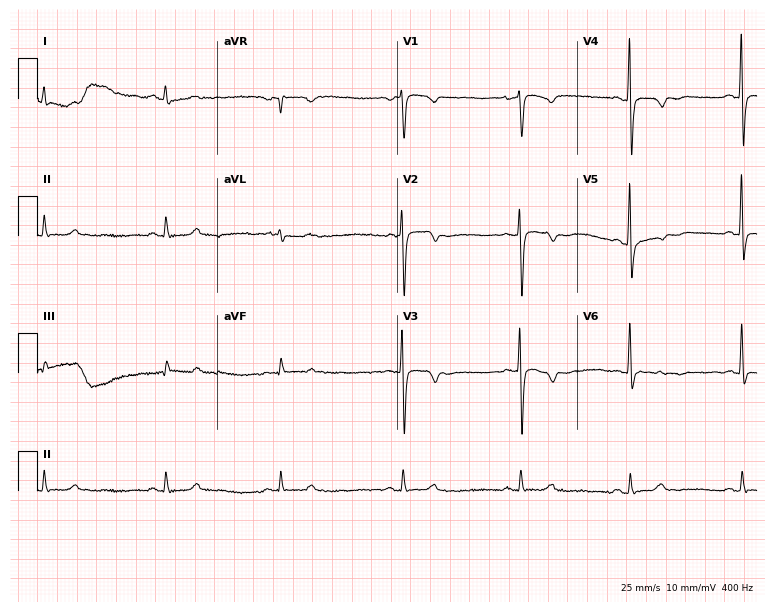
Standard 12-lead ECG recorded from a 53-year-old female patient (7.3-second recording at 400 Hz). None of these six findings is recorded: first-degree AV block, right bundle branch block, left bundle branch block, sinus bradycardia, atrial fibrillation, sinus tachycardia.